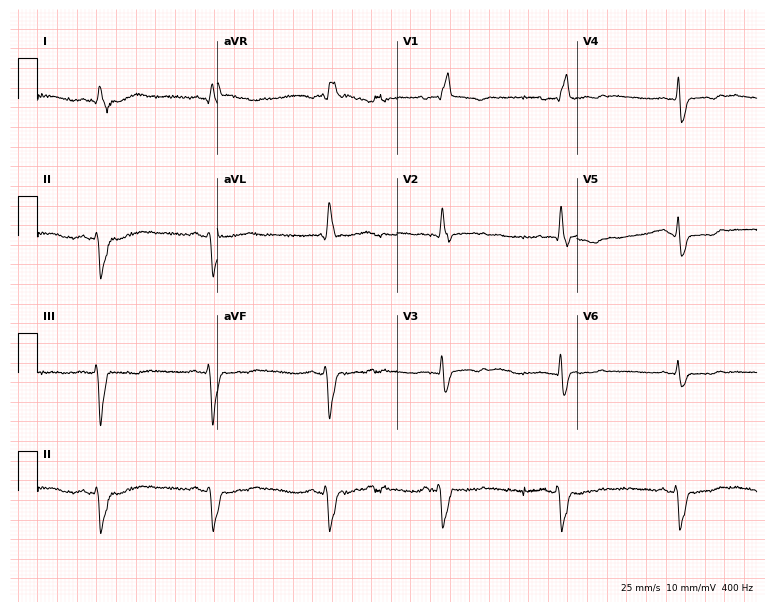
ECG (7.3-second recording at 400 Hz) — a male, 40 years old. Findings include right bundle branch block.